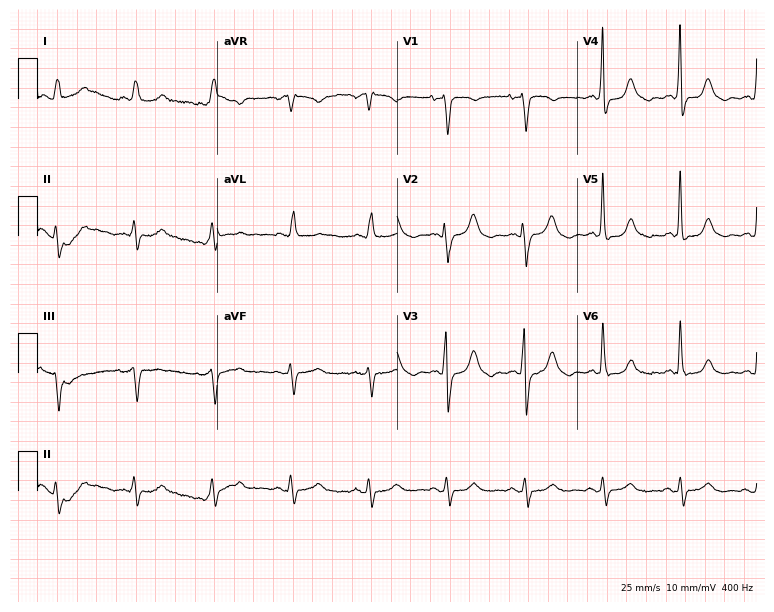
ECG — a 51-year-old female patient. Screened for six findings — first-degree AV block, right bundle branch block, left bundle branch block, sinus bradycardia, atrial fibrillation, sinus tachycardia — none is recorded. Other findings, if any, are not listed.